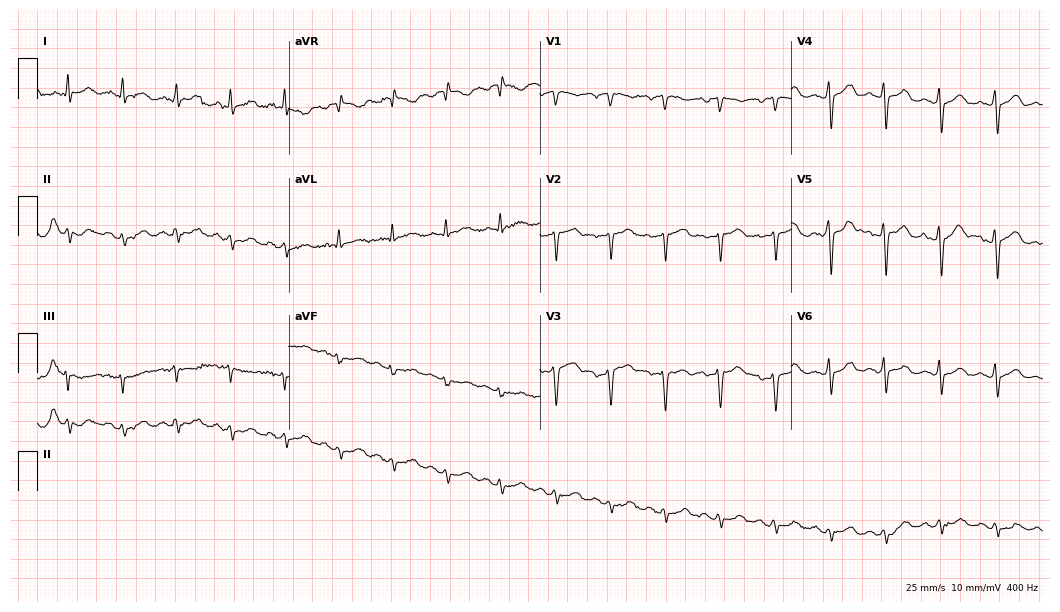
Resting 12-lead electrocardiogram (10.2-second recording at 400 Hz). Patient: a woman, 46 years old. The tracing shows sinus tachycardia (a sinus rate of 100 beats per minute or more).